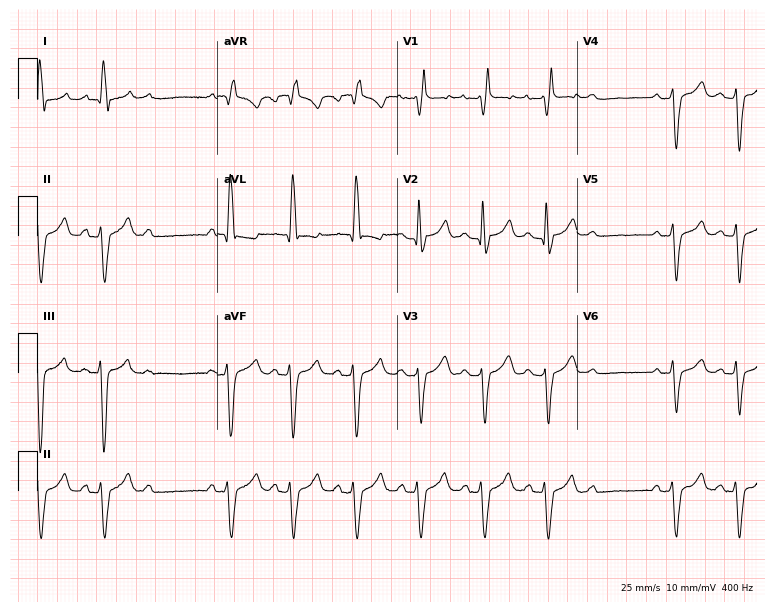
Resting 12-lead electrocardiogram. Patient: a 66-year-old woman. The tracing shows right bundle branch block (RBBB).